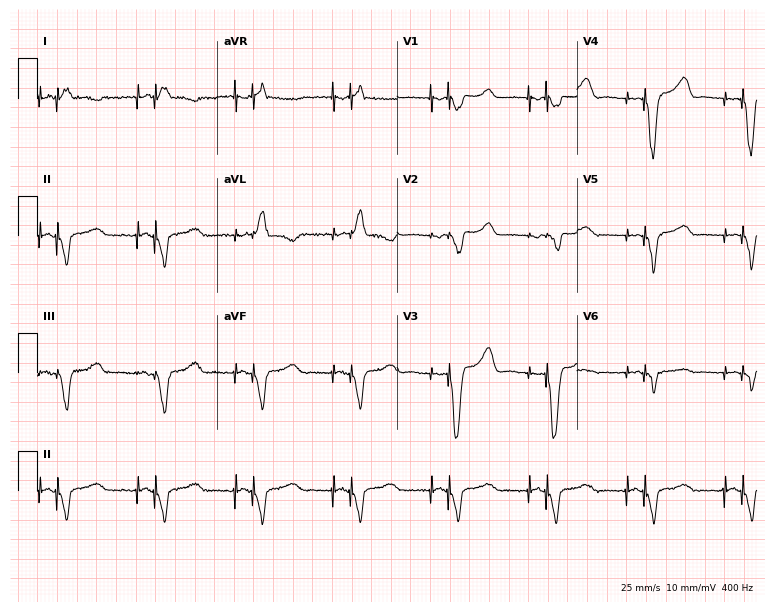
Resting 12-lead electrocardiogram. Patient: an 80-year-old female. None of these six findings is recorded: first-degree AV block, right bundle branch block (RBBB), left bundle branch block (LBBB), sinus bradycardia, atrial fibrillation (AF), sinus tachycardia. Findings outside these six are not listed.